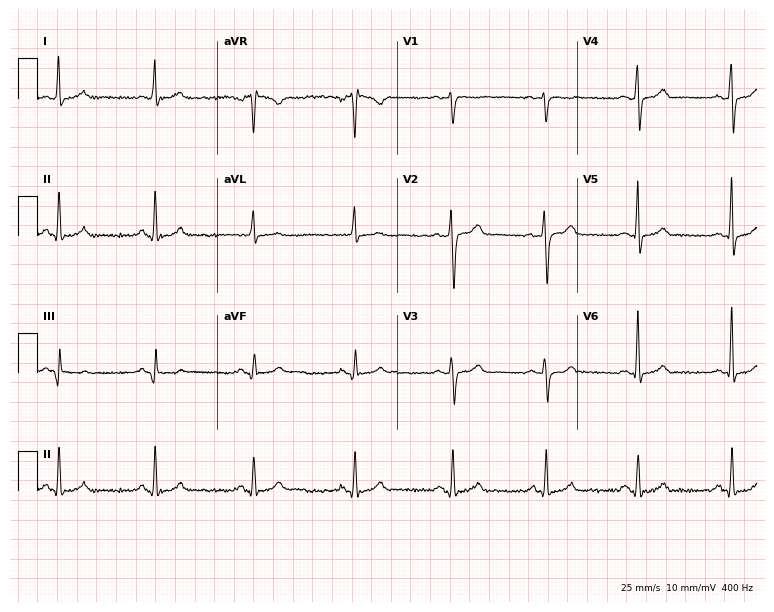
Electrocardiogram, a 63-year-old male. Overall reading on record: normal ECG.